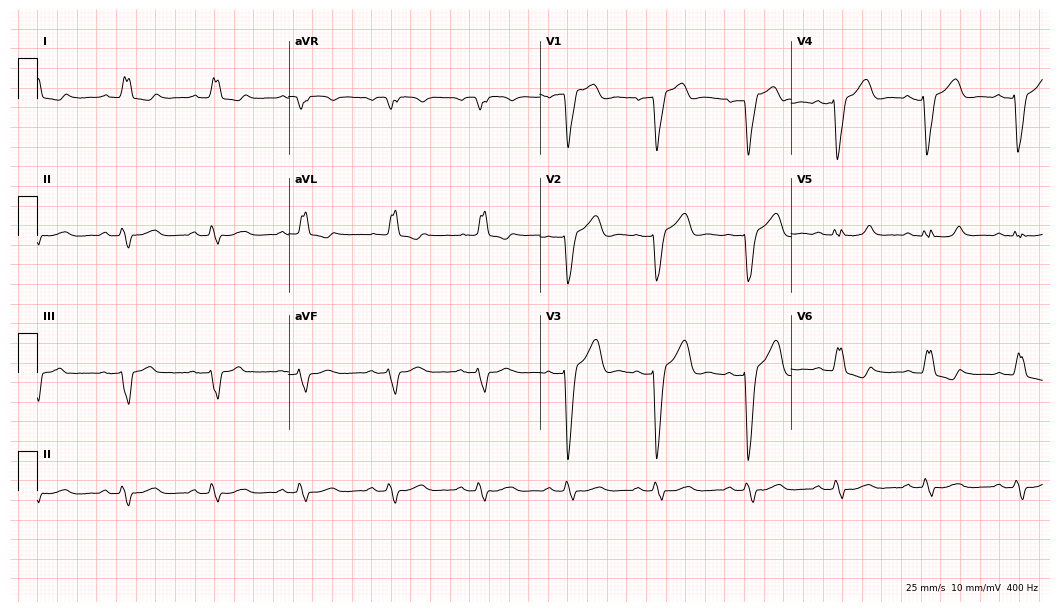
ECG — a man, 74 years old. Findings include left bundle branch block.